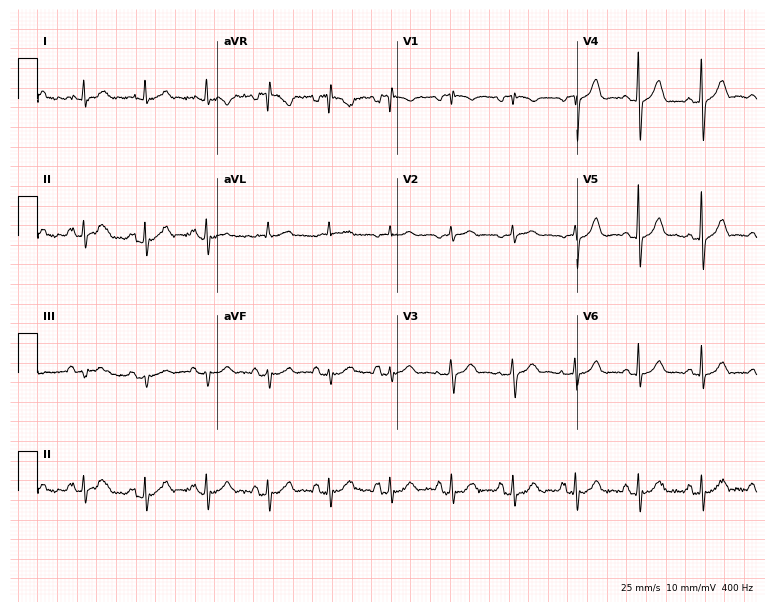
12-lead ECG from a woman, 73 years old. Recorded interpretation: within normal limits.